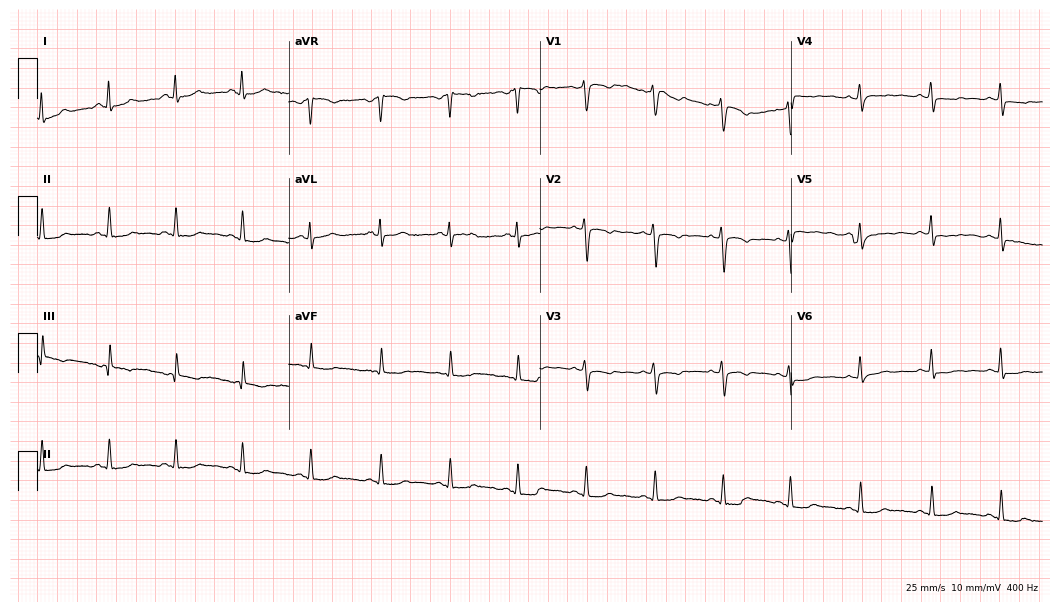
Standard 12-lead ECG recorded from a female, 32 years old (10.2-second recording at 400 Hz). None of these six findings is recorded: first-degree AV block, right bundle branch block, left bundle branch block, sinus bradycardia, atrial fibrillation, sinus tachycardia. Other findings, if any, are not listed.